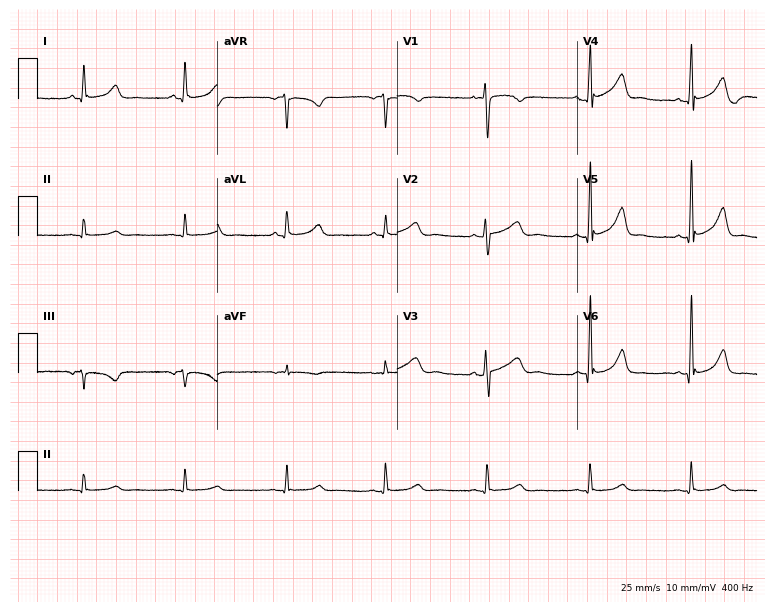
Standard 12-lead ECG recorded from a 30-year-old female. None of these six findings is recorded: first-degree AV block, right bundle branch block, left bundle branch block, sinus bradycardia, atrial fibrillation, sinus tachycardia.